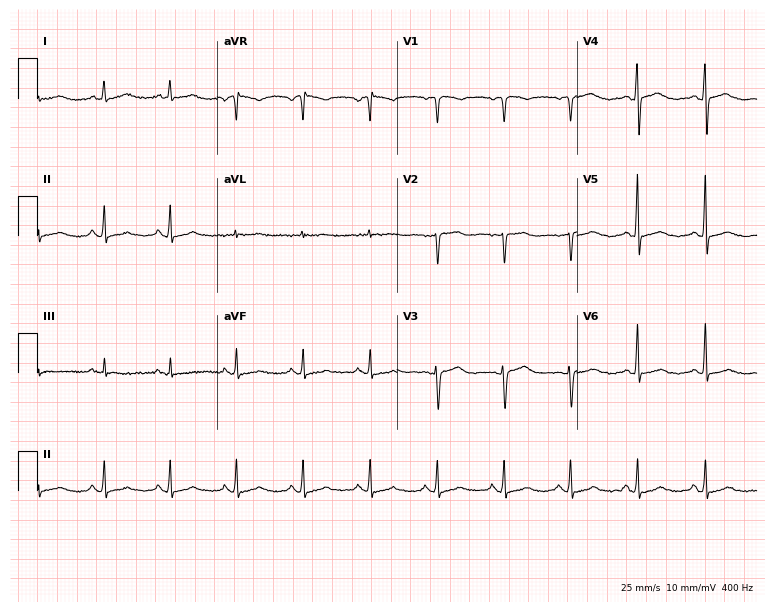
Standard 12-lead ECG recorded from a female, 52 years old (7.3-second recording at 400 Hz). Read as a normal ECG.